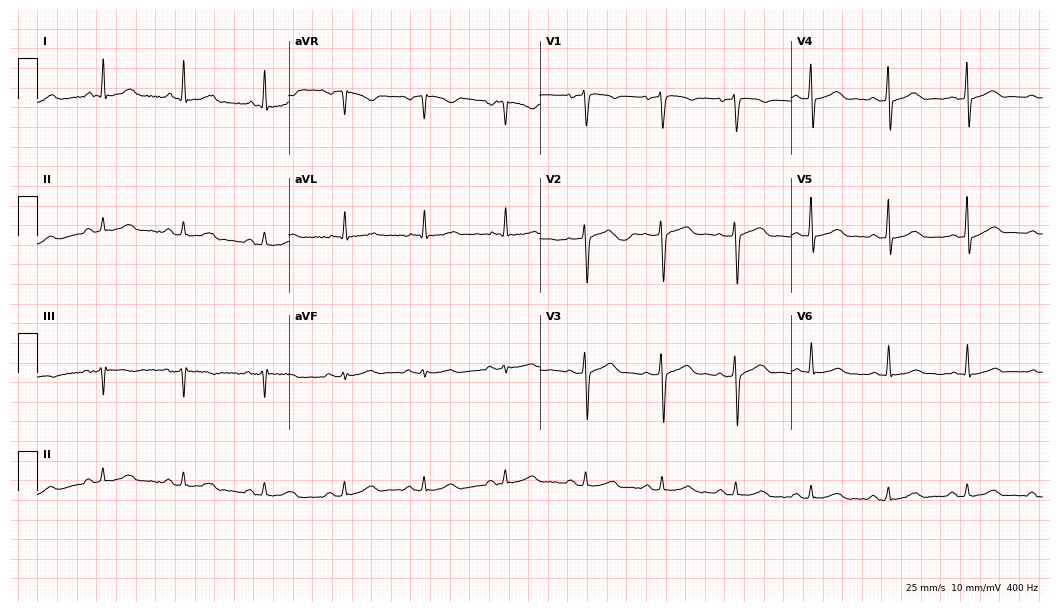
Resting 12-lead electrocardiogram. Patient: a male, 57 years old. Read as a normal ECG.